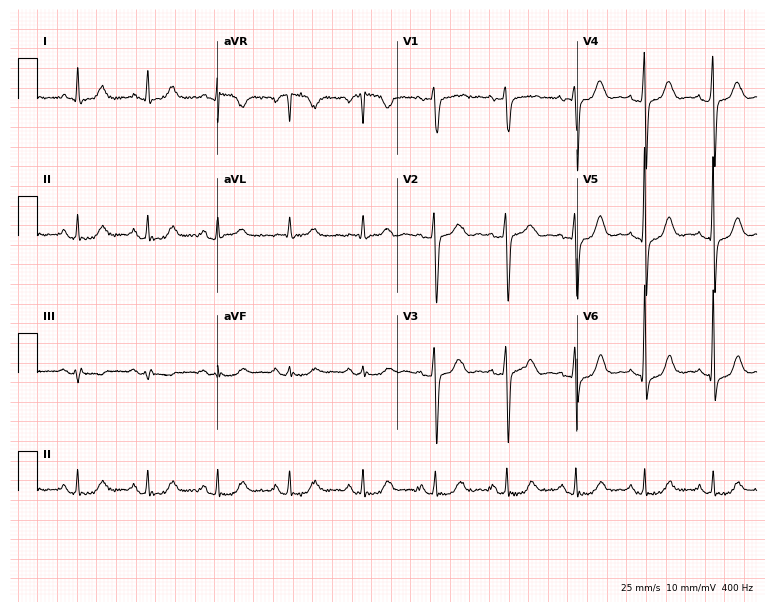
ECG (7.3-second recording at 400 Hz) — a 43-year-old woman. Screened for six findings — first-degree AV block, right bundle branch block, left bundle branch block, sinus bradycardia, atrial fibrillation, sinus tachycardia — none is recorded.